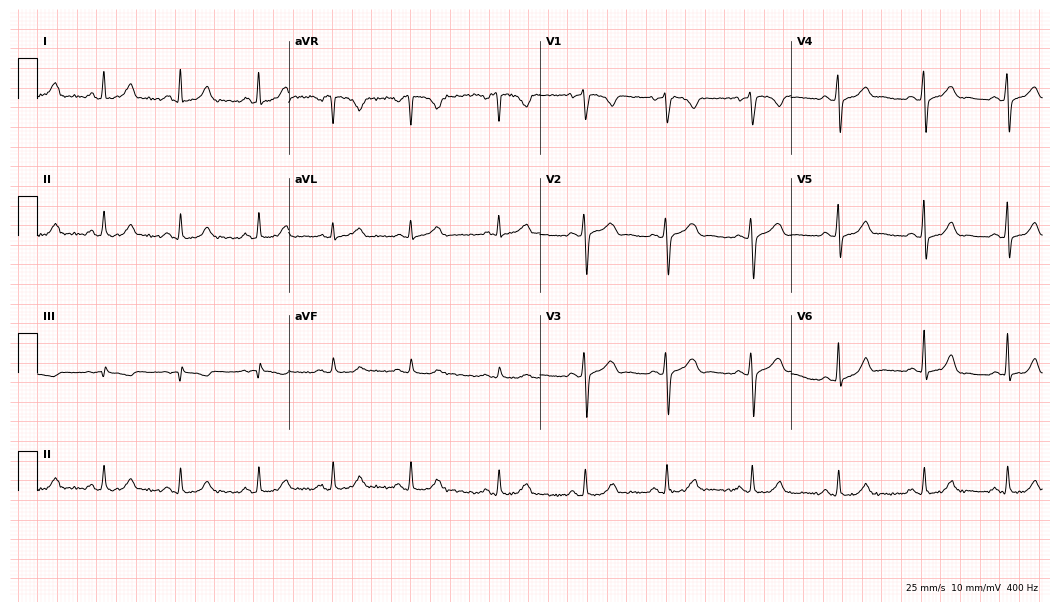
12-lead ECG from a woman, 30 years old. Labelled as a normal ECG.